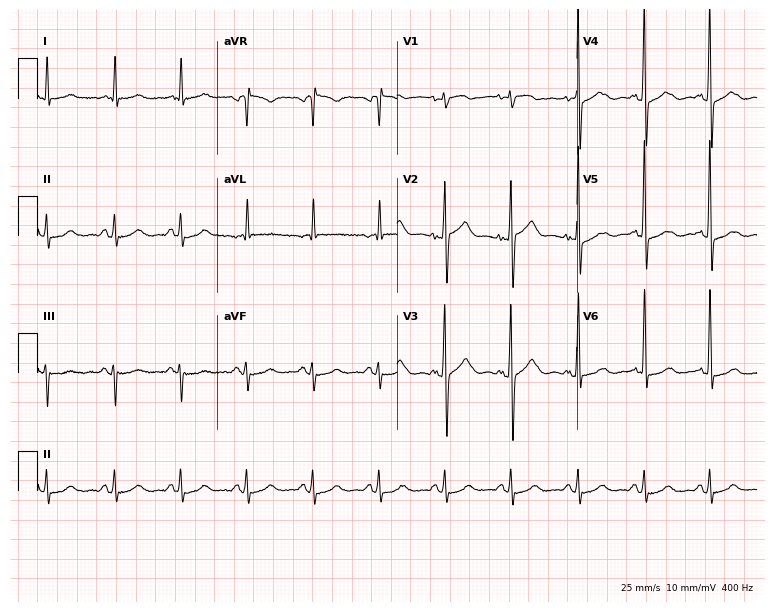
Resting 12-lead electrocardiogram (7.3-second recording at 400 Hz). Patient: a man, 79 years old. Read as a normal ECG.